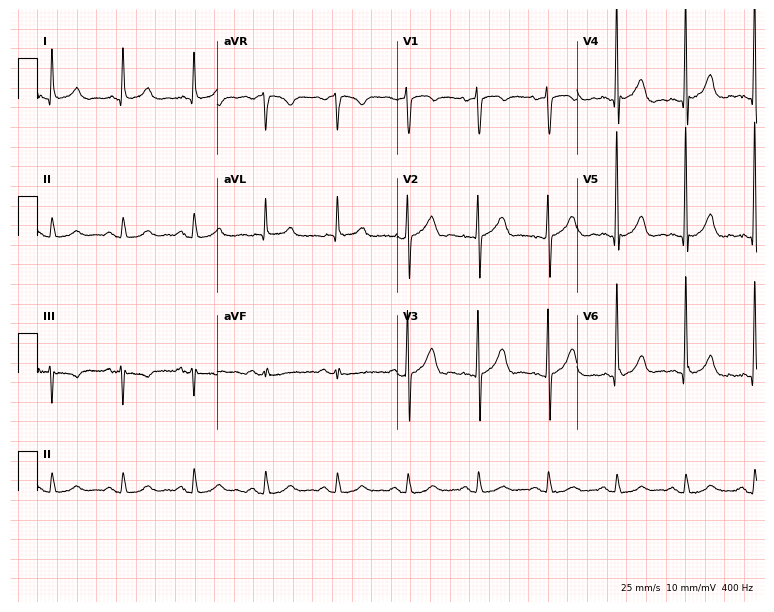
Resting 12-lead electrocardiogram. Patient: a 71-year-old male. None of these six findings is recorded: first-degree AV block, right bundle branch block, left bundle branch block, sinus bradycardia, atrial fibrillation, sinus tachycardia. Findings outside these six are not listed.